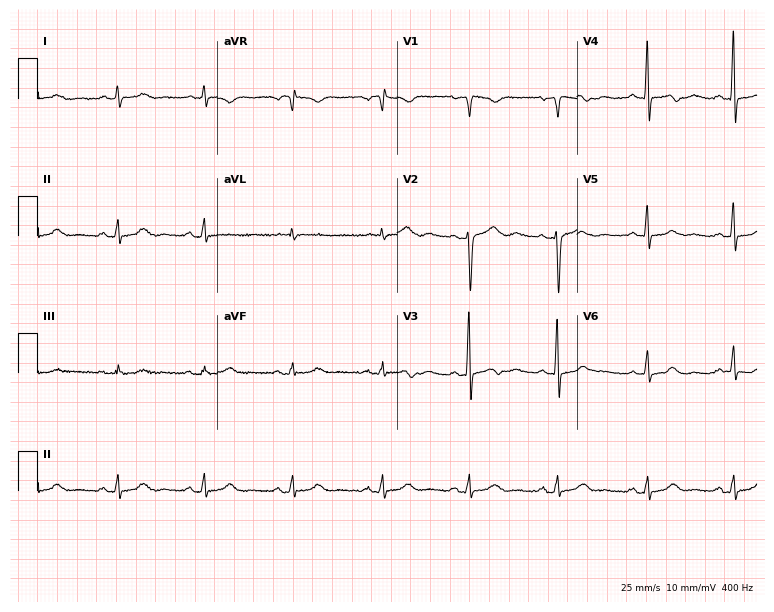
Standard 12-lead ECG recorded from a 77-year-old woman (7.3-second recording at 400 Hz). Read as a normal ECG.